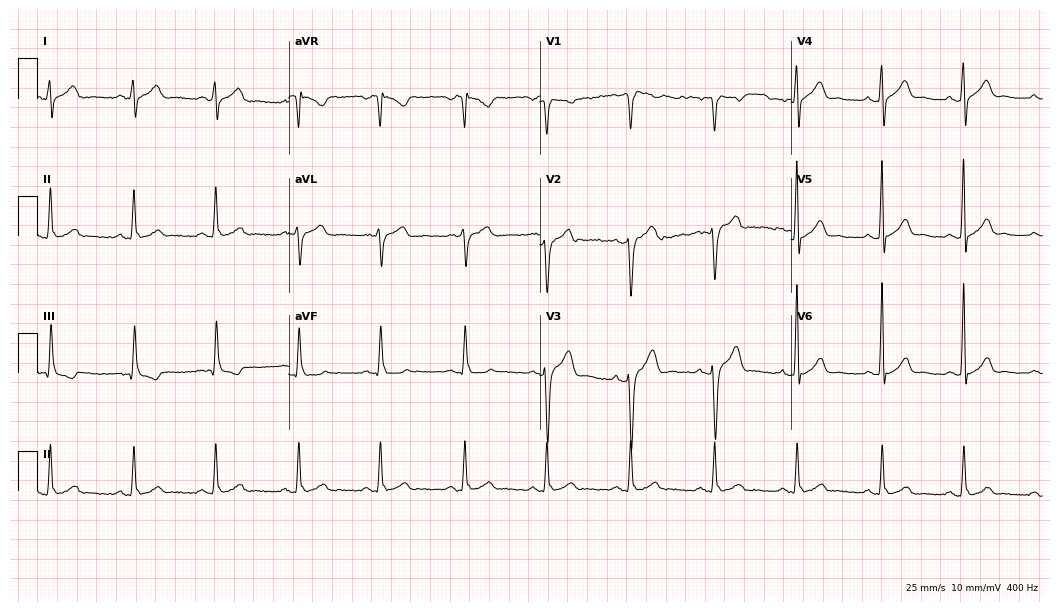
12-lead ECG (10.2-second recording at 400 Hz) from a male patient, 30 years old. Labelled as a normal ECG.